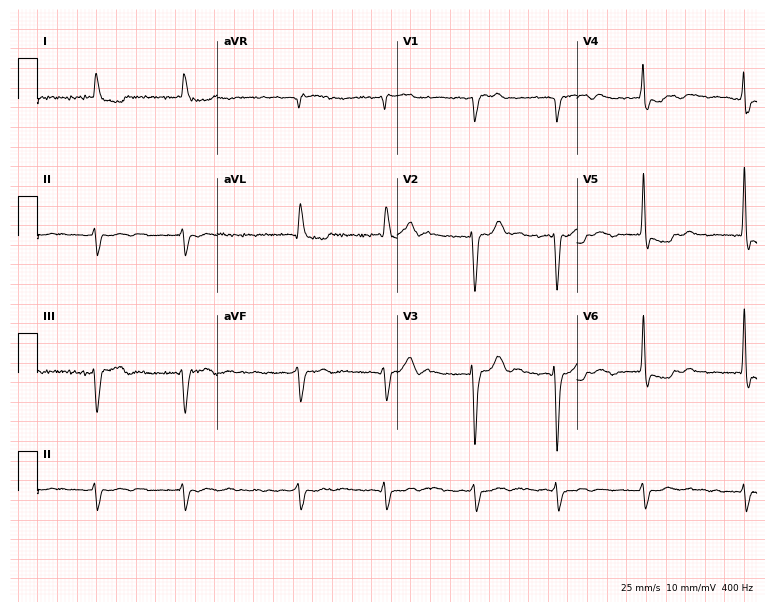
Resting 12-lead electrocardiogram. Patient: a female, 80 years old. The tracing shows atrial fibrillation.